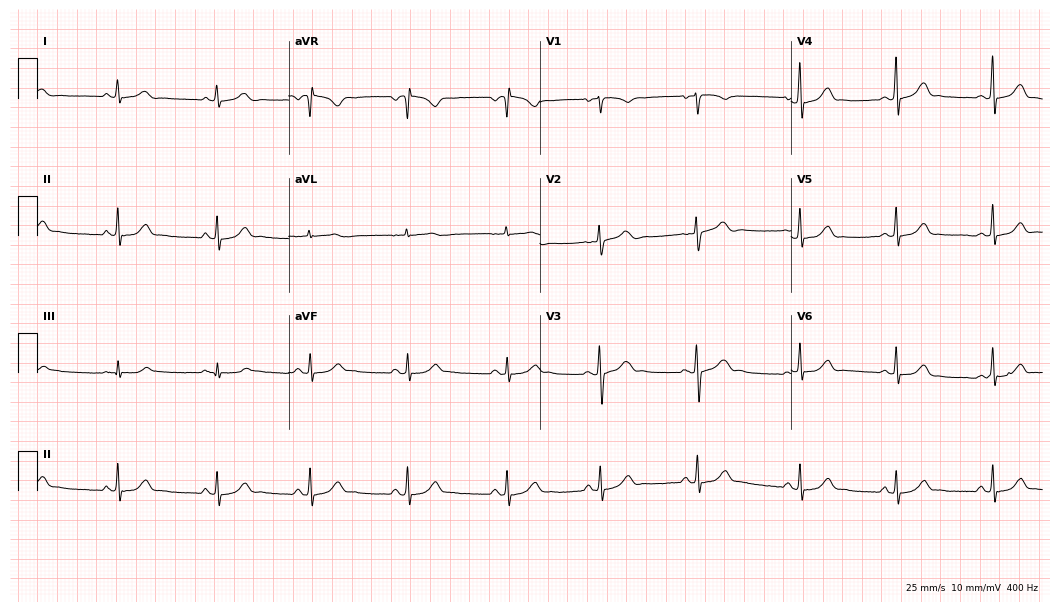
12-lead ECG from a 20-year-old woman (10.2-second recording at 400 Hz). No first-degree AV block, right bundle branch block, left bundle branch block, sinus bradycardia, atrial fibrillation or sinus tachycardia recorded for this tracing.